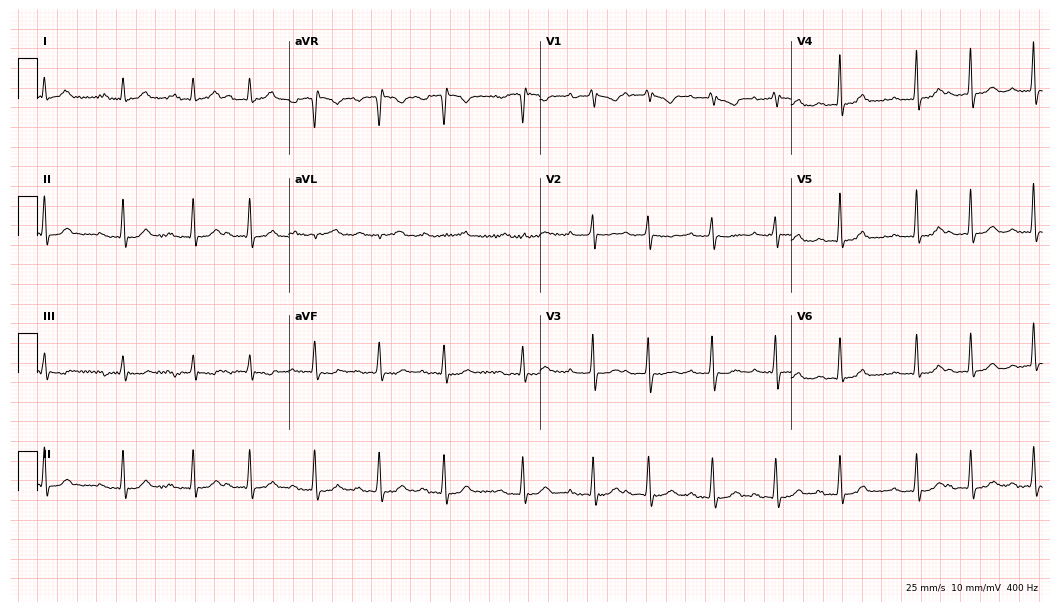
ECG — a woman, 85 years old. Screened for six findings — first-degree AV block, right bundle branch block, left bundle branch block, sinus bradycardia, atrial fibrillation, sinus tachycardia — none is recorded. Findings outside these six are not listed.